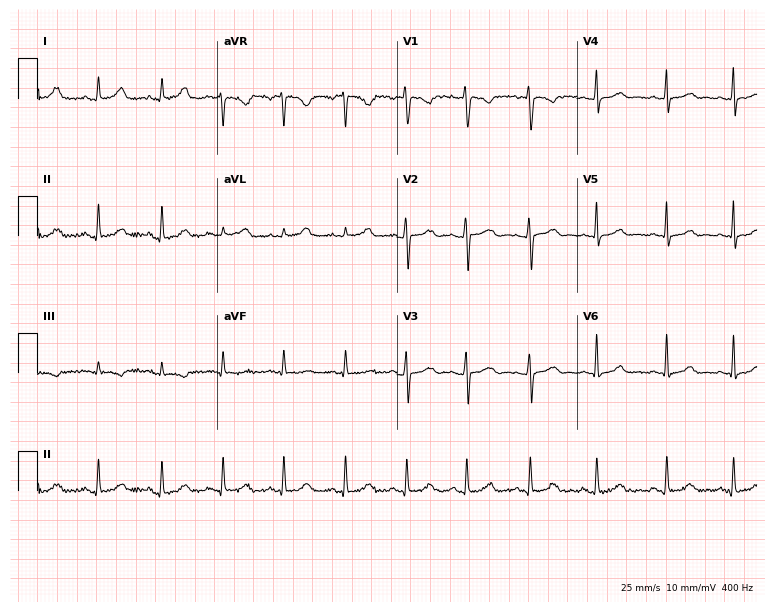
12-lead ECG from a 26-year-old woman (7.3-second recording at 400 Hz). No first-degree AV block, right bundle branch block, left bundle branch block, sinus bradycardia, atrial fibrillation or sinus tachycardia recorded for this tracing.